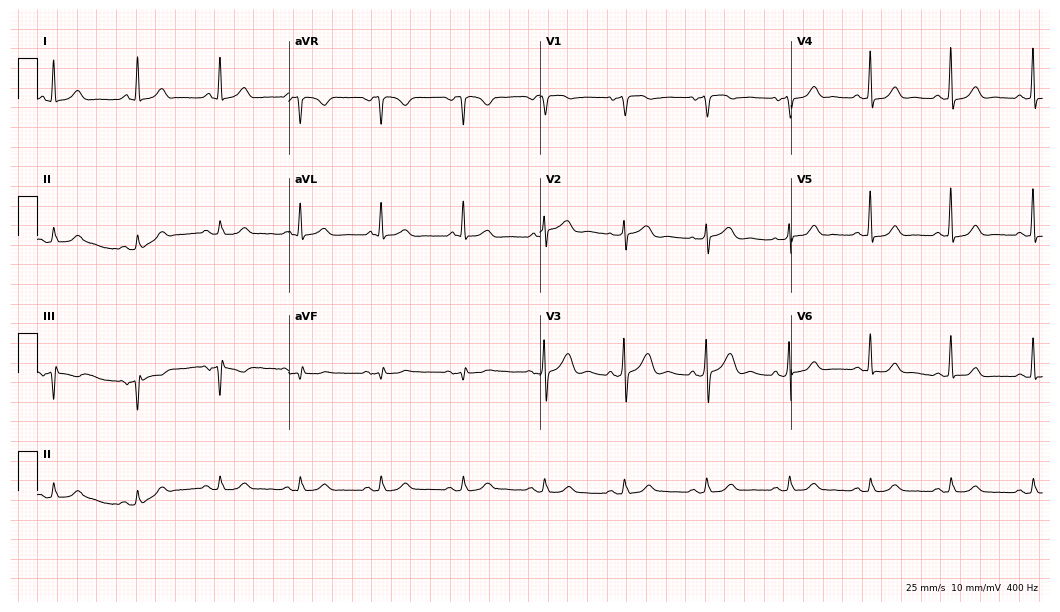
Electrocardiogram (10.2-second recording at 400 Hz), a 65-year-old woman. Overall reading on record: normal ECG.